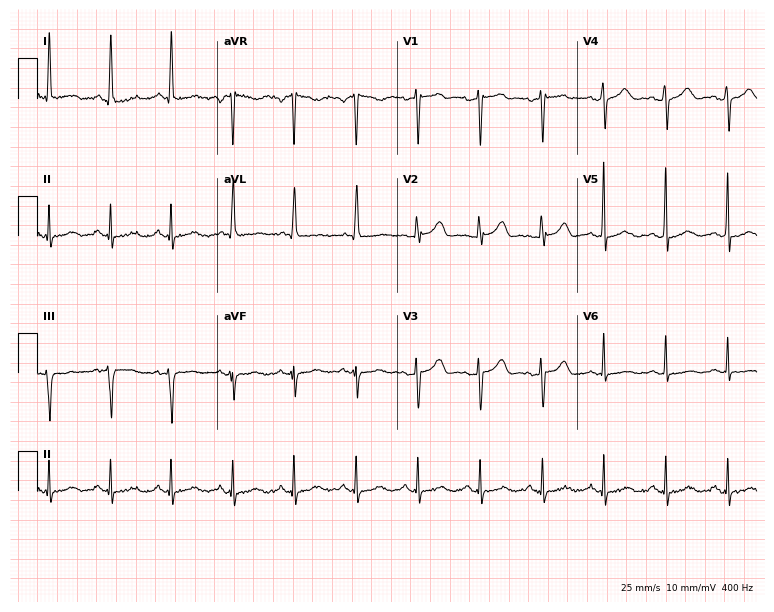
Resting 12-lead electrocardiogram. Patient: a woman, 68 years old. None of these six findings is recorded: first-degree AV block, right bundle branch block (RBBB), left bundle branch block (LBBB), sinus bradycardia, atrial fibrillation (AF), sinus tachycardia. Other findings, if any, are not listed.